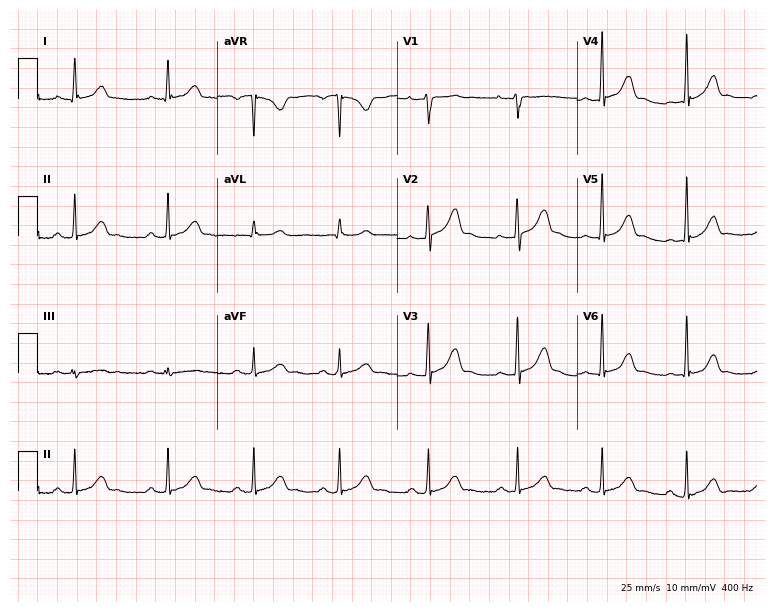
12-lead ECG from a female patient, 30 years old. Labelled as a normal ECG.